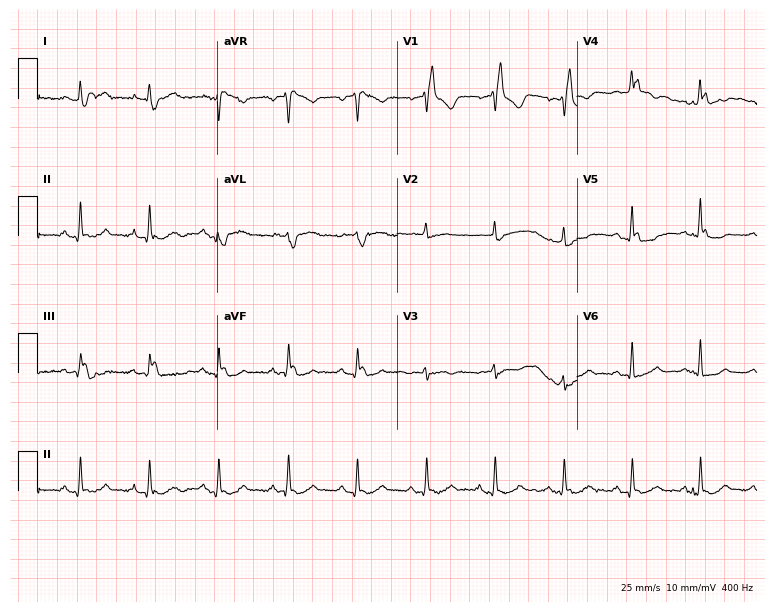
12-lead ECG from a male, 77 years old (7.3-second recording at 400 Hz). Shows right bundle branch block.